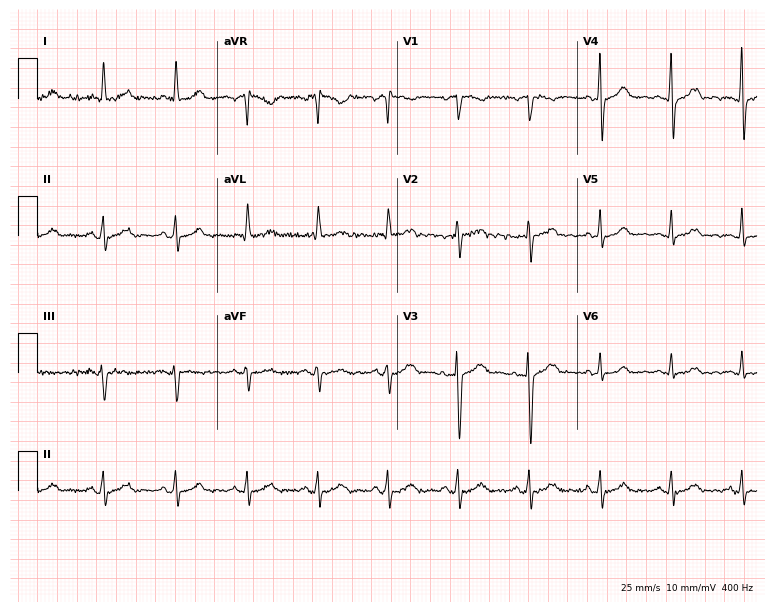
12-lead ECG from a female, 49 years old (7.3-second recording at 400 Hz). Recorded interpretation: within normal limits.